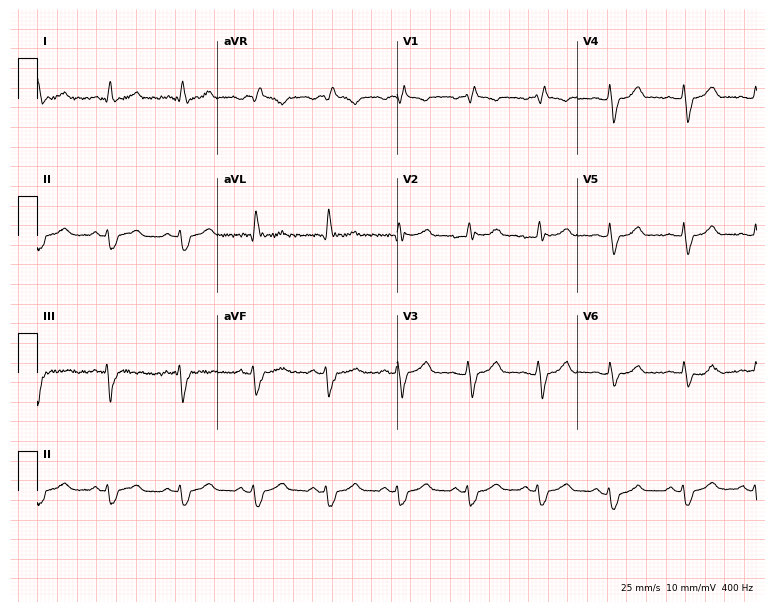
ECG — a 50-year-old male patient. Findings include right bundle branch block.